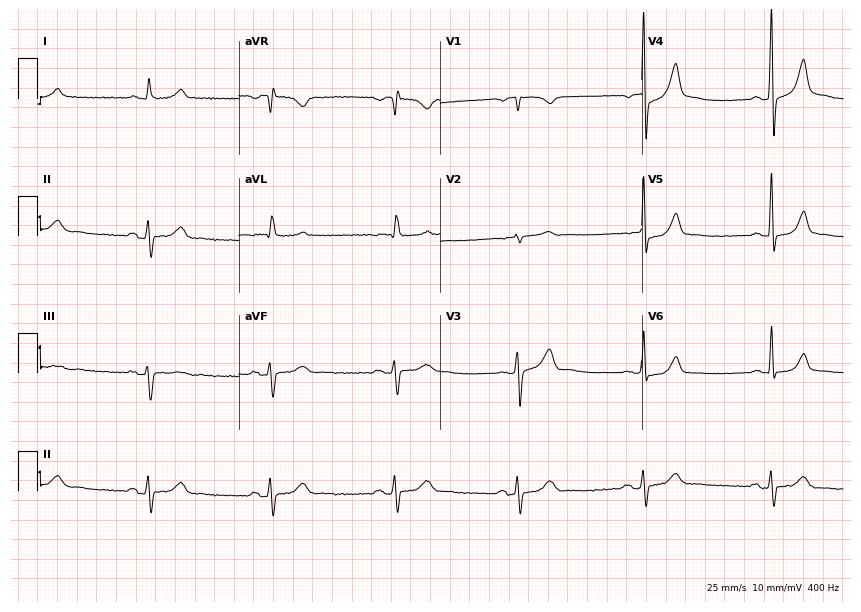
Electrocardiogram (8.2-second recording at 400 Hz), a 58-year-old man. Interpretation includes sinus bradycardia (a sinus rate of 50 beats per minute or less).